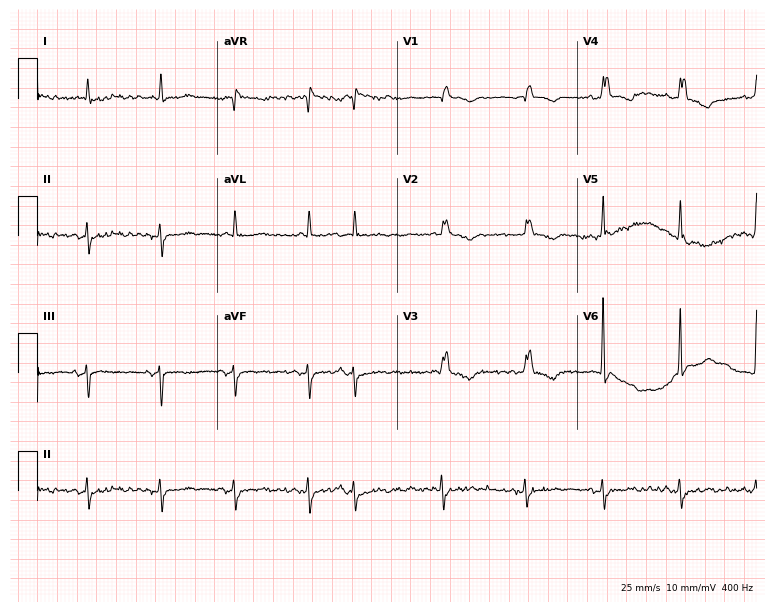
Standard 12-lead ECG recorded from an 84-year-old man (7.3-second recording at 400 Hz). The tracing shows atrial fibrillation.